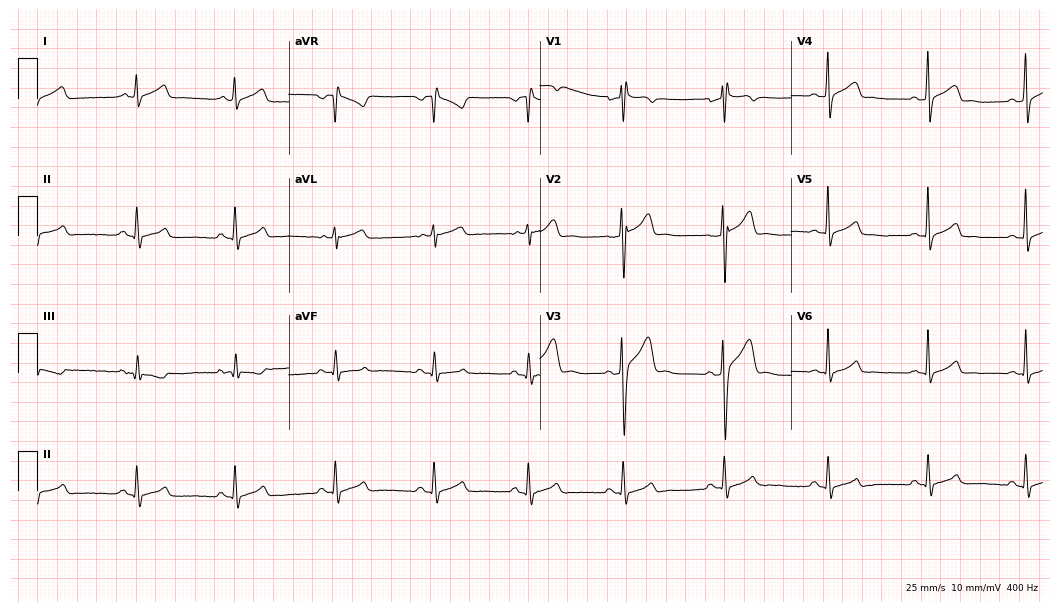
Standard 12-lead ECG recorded from a 30-year-old male (10.2-second recording at 400 Hz). None of these six findings is recorded: first-degree AV block, right bundle branch block (RBBB), left bundle branch block (LBBB), sinus bradycardia, atrial fibrillation (AF), sinus tachycardia.